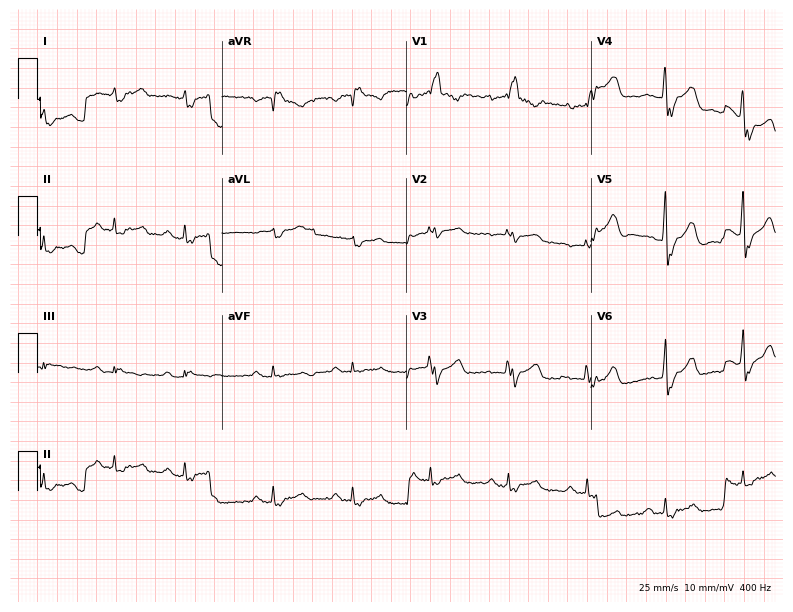
12-lead ECG from a 66-year-old male (7.5-second recording at 400 Hz). No first-degree AV block, right bundle branch block, left bundle branch block, sinus bradycardia, atrial fibrillation or sinus tachycardia recorded for this tracing. Other findings, if any, are not listed.